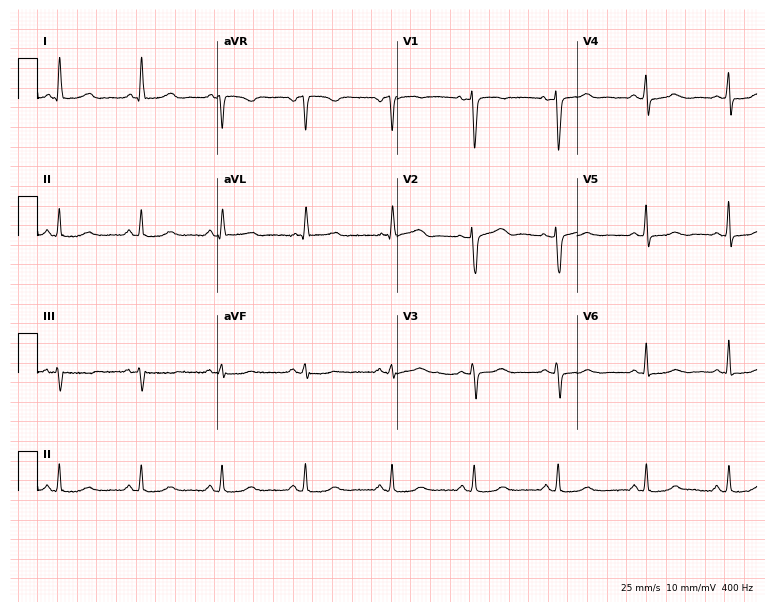
12-lead ECG from a woman, 53 years old. Recorded interpretation: within normal limits.